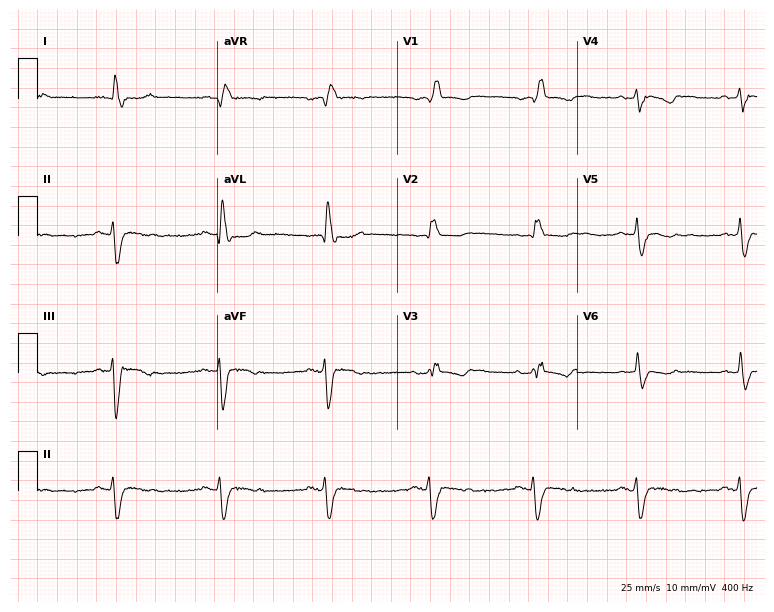
Resting 12-lead electrocardiogram. Patient: a man, 84 years old. The tracing shows right bundle branch block (RBBB).